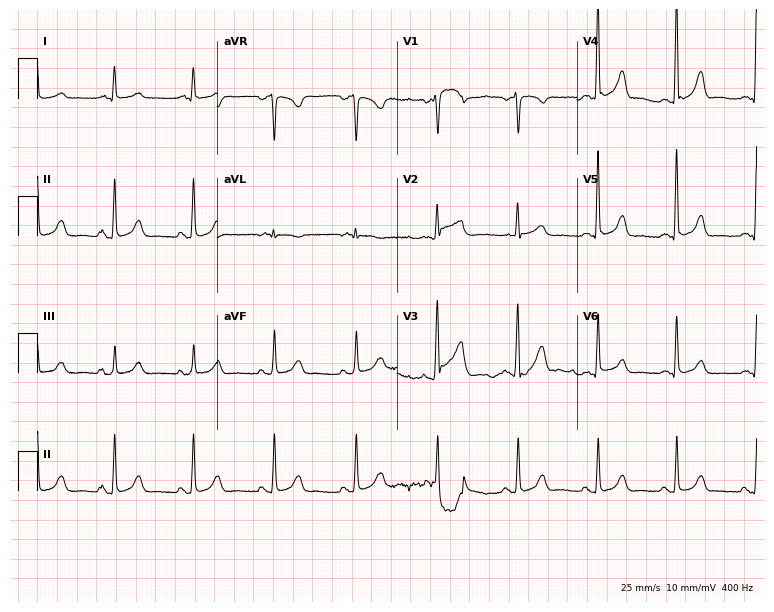
12-lead ECG from a 66-year-old female patient (7.3-second recording at 400 Hz). Recorded interpretation: within normal limits.